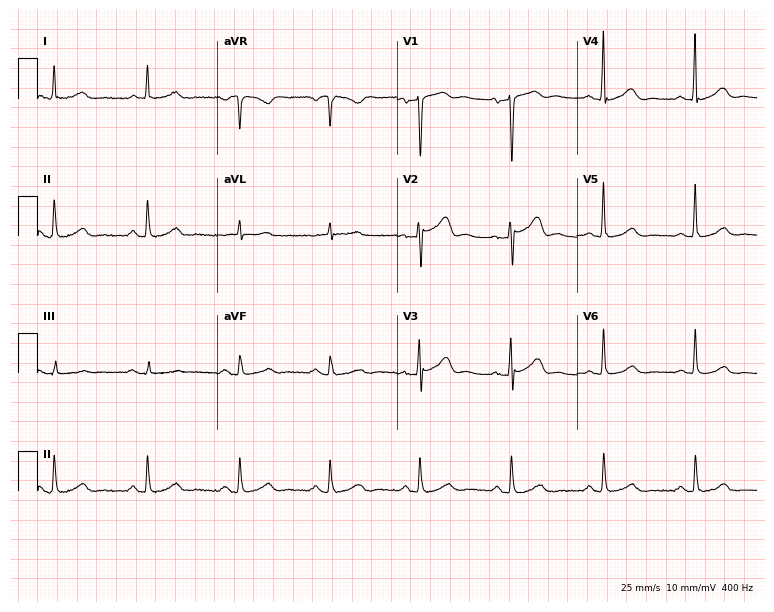
Resting 12-lead electrocardiogram. Patient: a 73-year-old male. Read as a normal ECG.